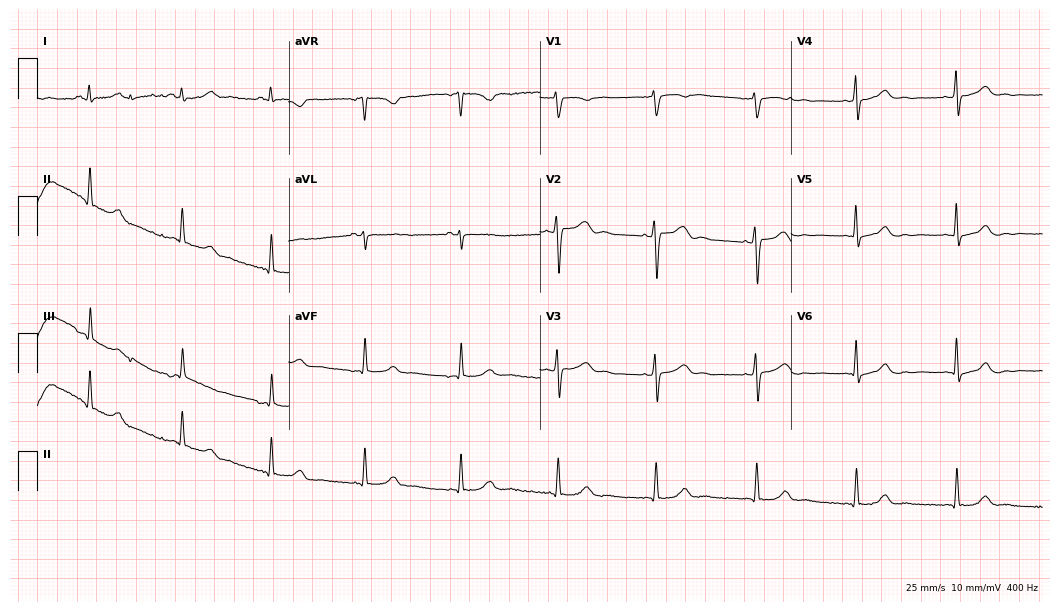
Electrocardiogram (10.2-second recording at 400 Hz), a female patient, 22 years old. Overall reading on record: normal ECG.